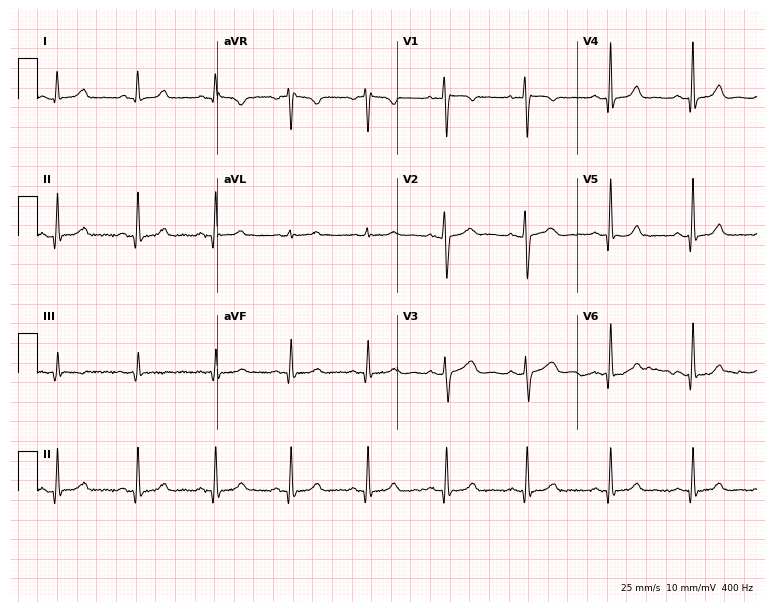
Electrocardiogram, a female, 30 years old. Overall reading on record: normal ECG.